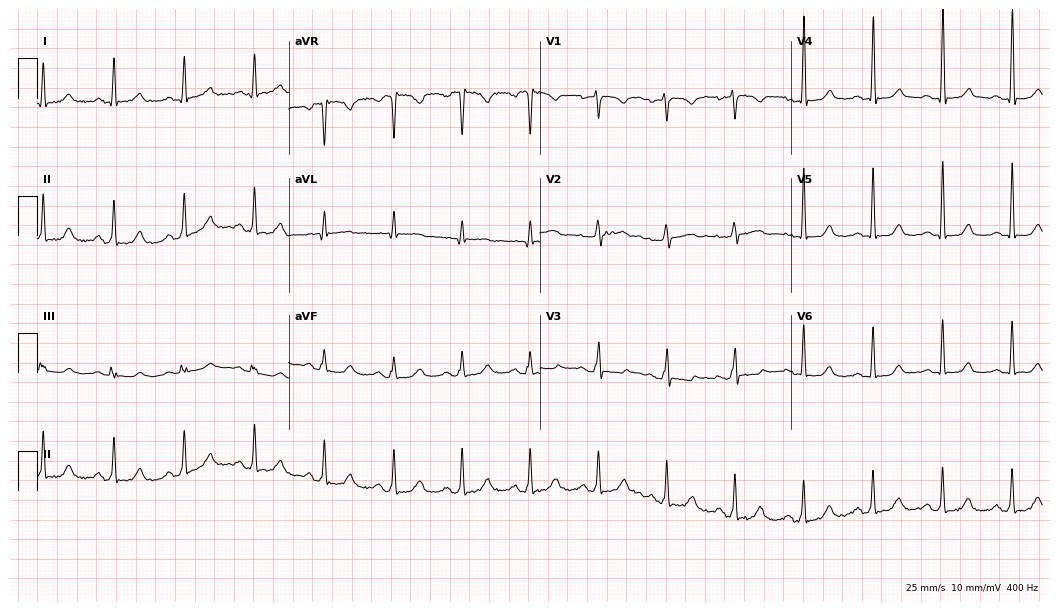
Resting 12-lead electrocardiogram (10.2-second recording at 400 Hz). Patient: a 44-year-old female. Read as a normal ECG.